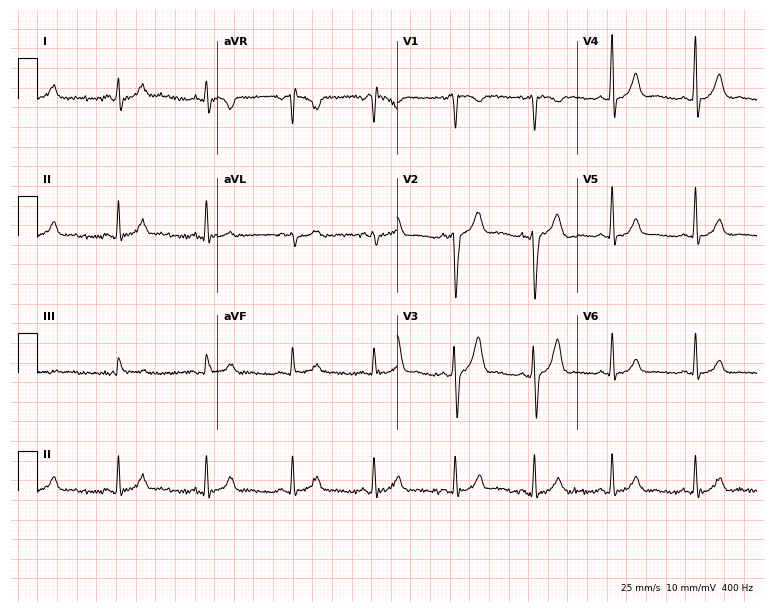
Standard 12-lead ECG recorded from a 24-year-old male patient. Read as a normal ECG.